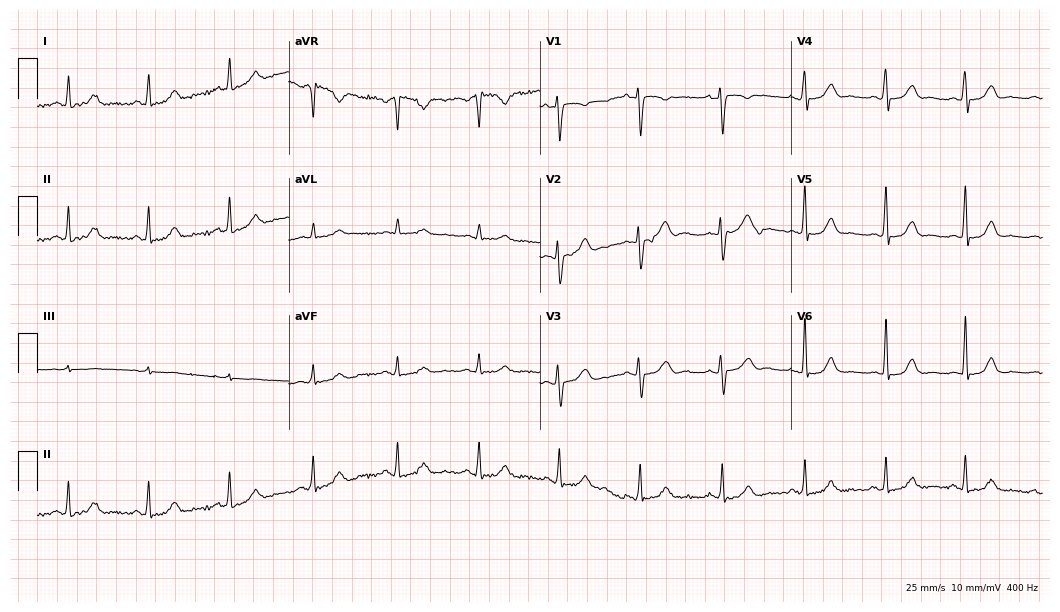
Standard 12-lead ECG recorded from a 60-year-old female (10.2-second recording at 400 Hz). Read as a normal ECG.